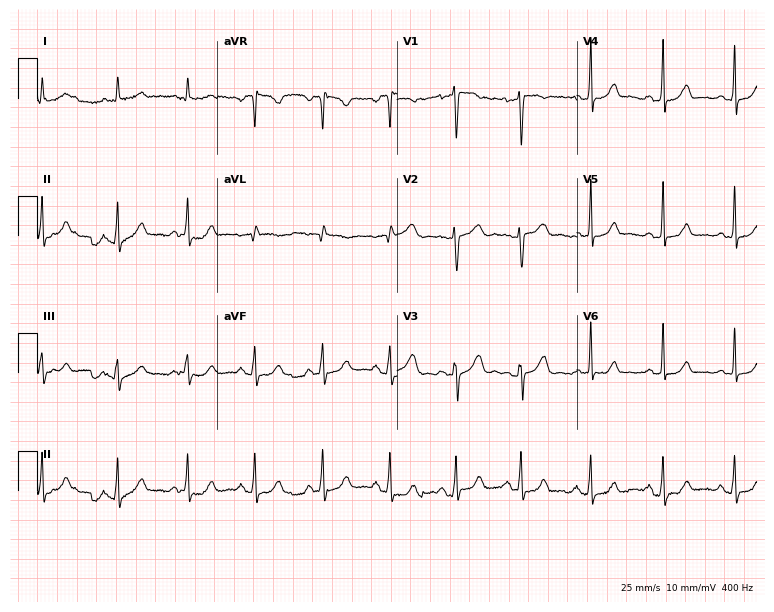
Electrocardiogram (7.3-second recording at 400 Hz), a 31-year-old female patient. Overall reading on record: normal ECG.